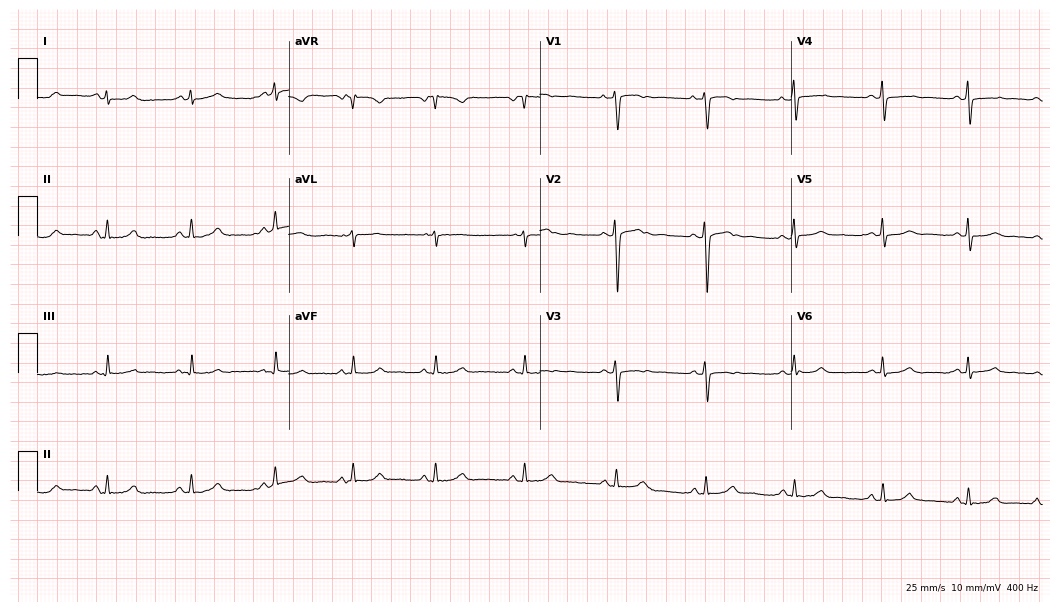
ECG (10.2-second recording at 400 Hz) — a female patient, 27 years old. Screened for six findings — first-degree AV block, right bundle branch block (RBBB), left bundle branch block (LBBB), sinus bradycardia, atrial fibrillation (AF), sinus tachycardia — none is recorded. Only these six findings were labelled.